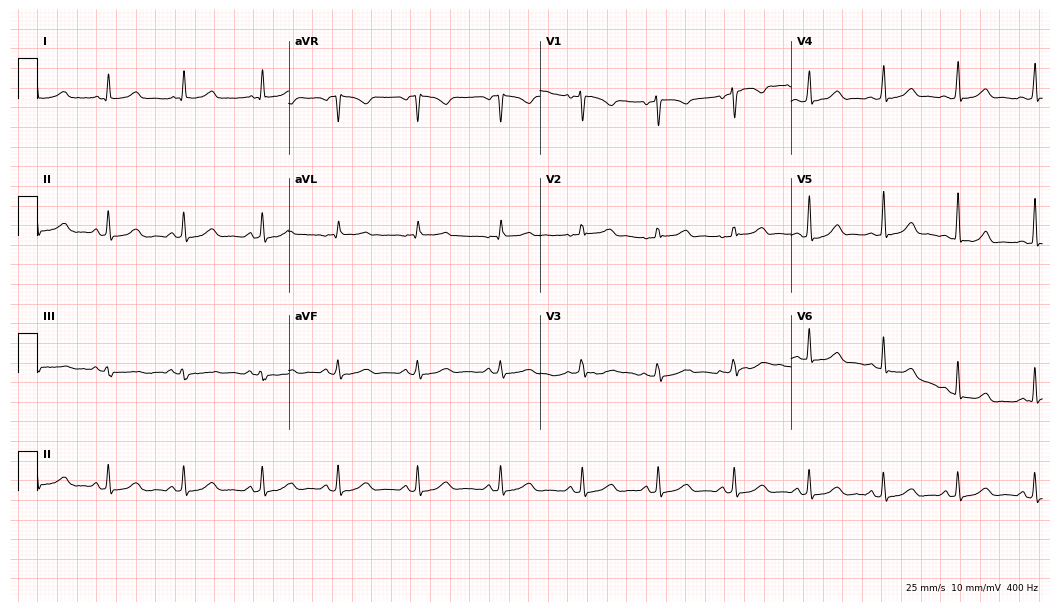
12-lead ECG from a 33-year-old female patient (10.2-second recording at 400 Hz). Recorded interpretation: within normal limits.